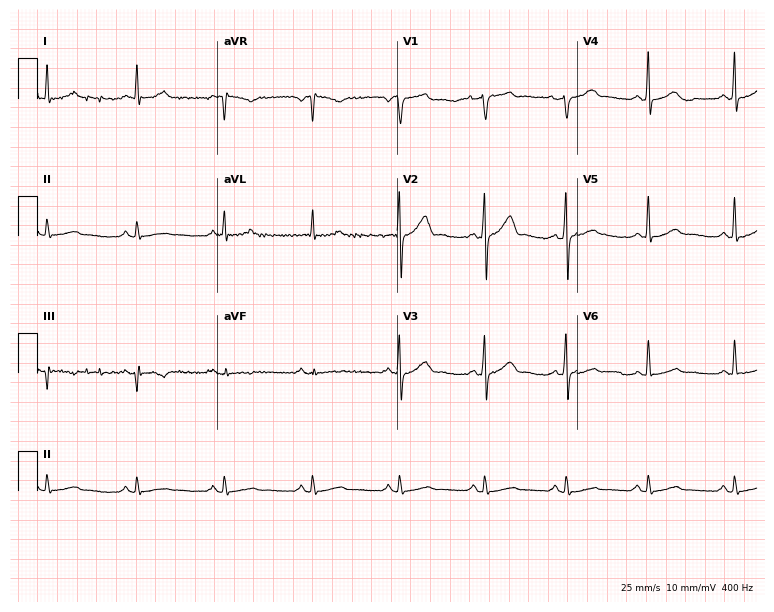
ECG (7.3-second recording at 400 Hz) — a 41-year-old male. Screened for six findings — first-degree AV block, right bundle branch block (RBBB), left bundle branch block (LBBB), sinus bradycardia, atrial fibrillation (AF), sinus tachycardia — none is recorded. Only these six findings were labelled.